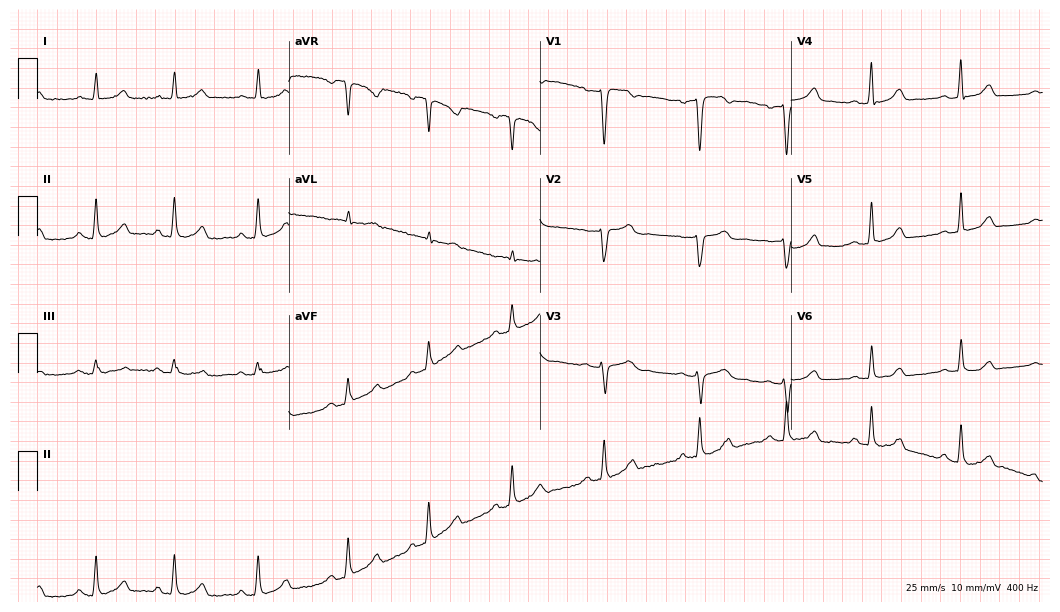
Standard 12-lead ECG recorded from a woman, 48 years old. Read as a normal ECG.